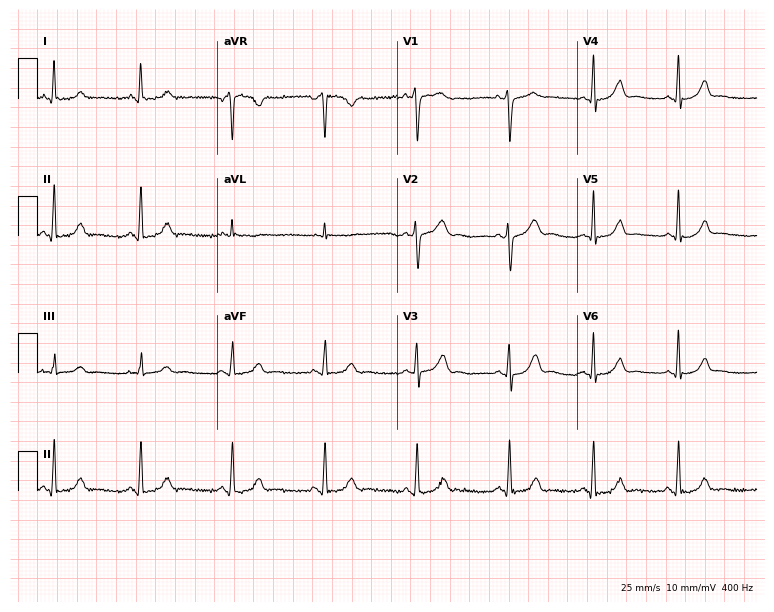
12-lead ECG from a woman, 21 years old. No first-degree AV block, right bundle branch block (RBBB), left bundle branch block (LBBB), sinus bradycardia, atrial fibrillation (AF) or sinus tachycardia recorded for this tracing.